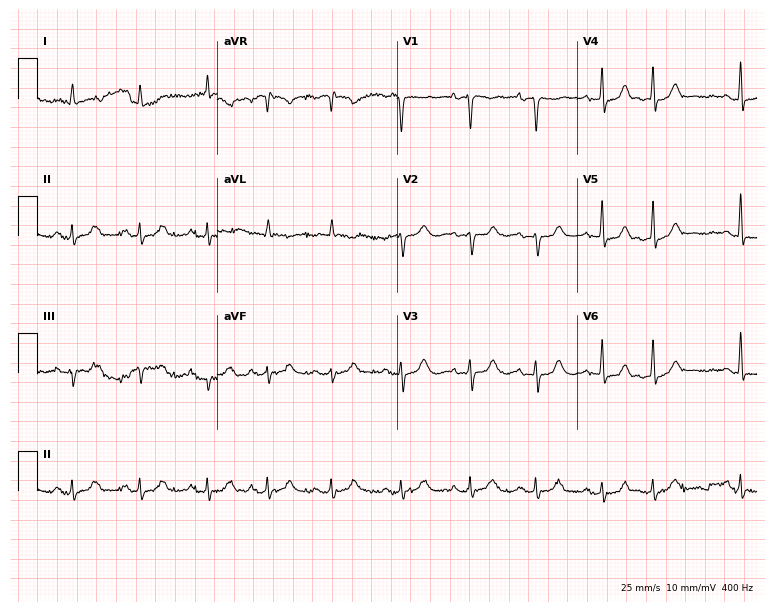
12-lead ECG from an 85-year-old woman. No first-degree AV block, right bundle branch block (RBBB), left bundle branch block (LBBB), sinus bradycardia, atrial fibrillation (AF) or sinus tachycardia recorded for this tracing.